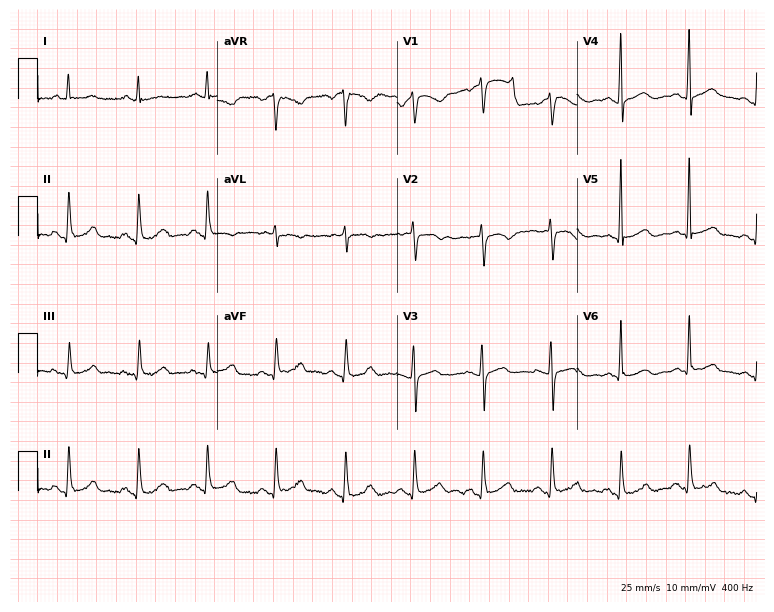
12-lead ECG from an 81-year-old female patient (7.3-second recording at 400 Hz). Recorded interpretation: within normal limits.